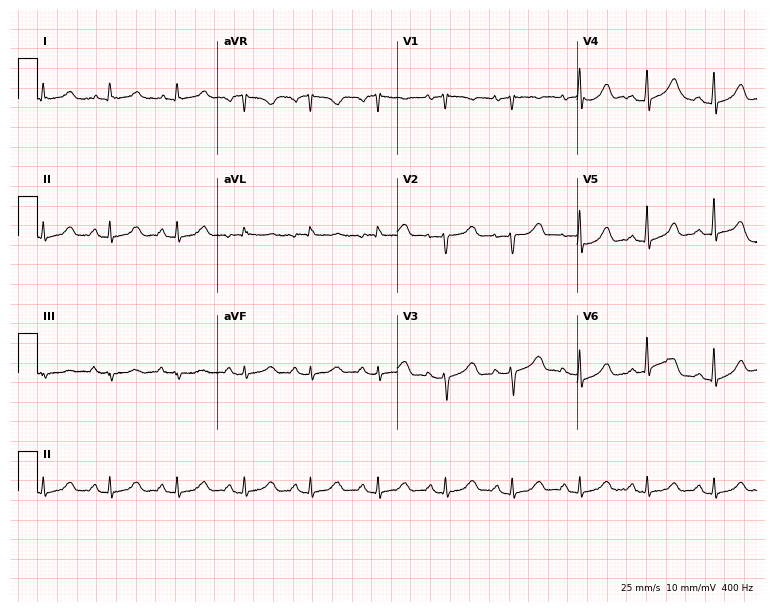
Electrocardiogram (7.3-second recording at 400 Hz), a female patient, 80 years old. Of the six screened findings (first-degree AV block, right bundle branch block, left bundle branch block, sinus bradycardia, atrial fibrillation, sinus tachycardia), none is recorded. Findings outside these six are not listed.